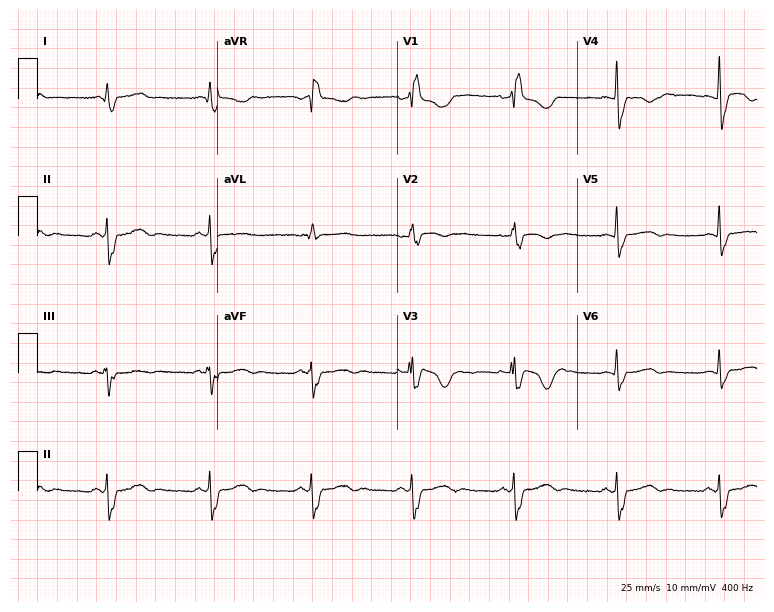
Electrocardiogram (7.3-second recording at 400 Hz), a woman, 52 years old. Interpretation includes right bundle branch block (RBBB).